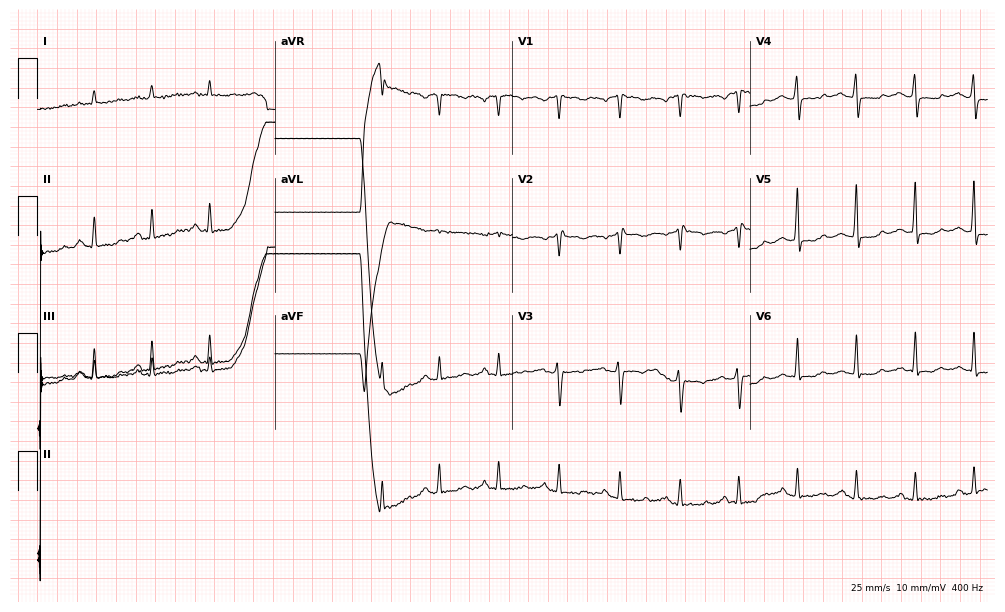
ECG — a 46-year-old female. Screened for six findings — first-degree AV block, right bundle branch block, left bundle branch block, sinus bradycardia, atrial fibrillation, sinus tachycardia — none is recorded. Only these six findings were labelled.